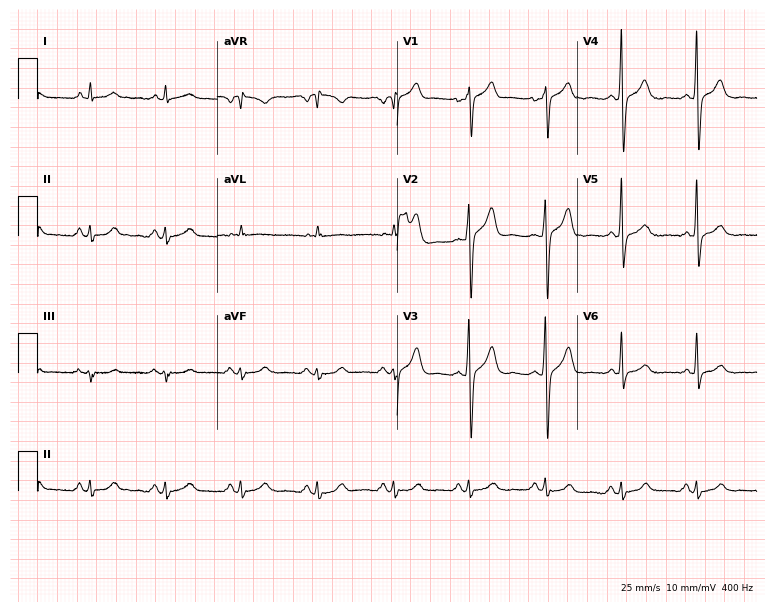
12-lead ECG from a man, 73 years old. No first-degree AV block, right bundle branch block (RBBB), left bundle branch block (LBBB), sinus bradycardia, atrial fibrillation (AF) or sinus tachycardia recorded for this tracing. Findings outside these six are not listed.